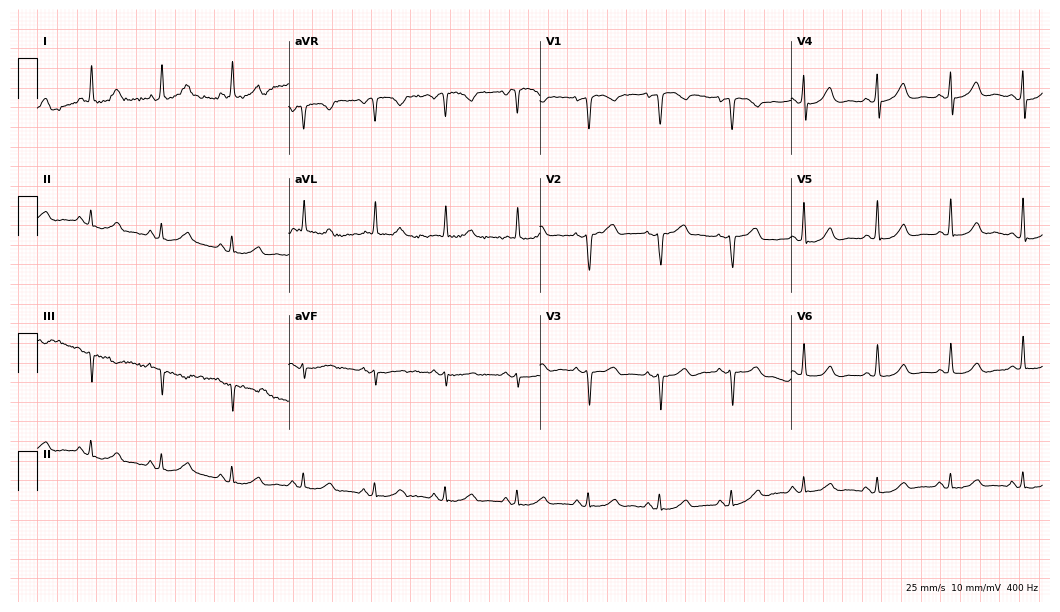
Electrocardiogram (10.2-second recording at 400 Hz), an 83-year-old female. Overall reading on record: normal ECG.